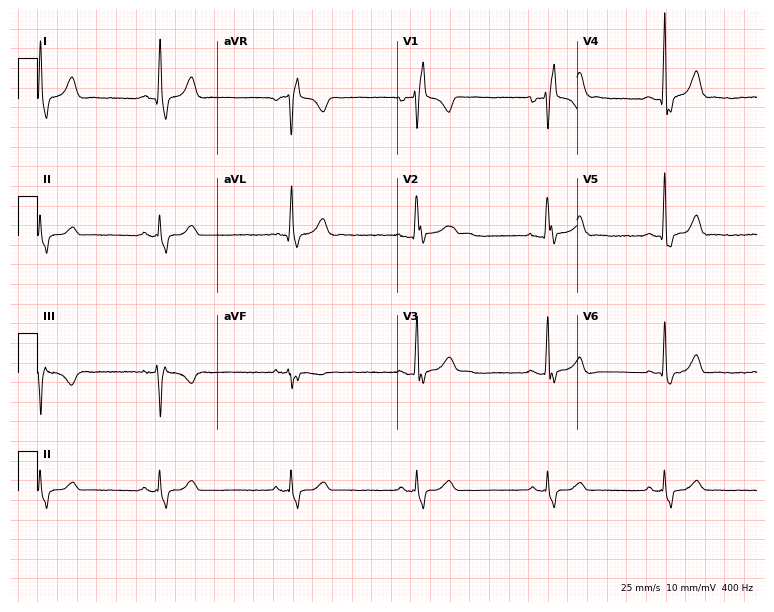
12-lead ECG from a 25-year-old male. Shows right bundle branch block, sinus bradycardia (a sinus rate of 50 beats per minute or less).